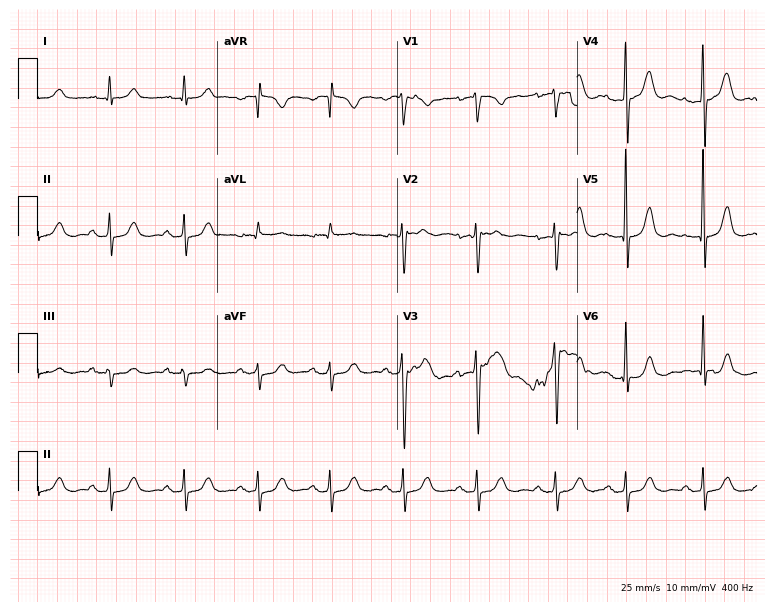
Resting 12-lead electrocardiogram. Patient: a male, 72 years old. None of these six findings is recorded: first-degree AV block, right bundle branch block, left bundle branch block, sinus bradycardia, atrial fibrillation, sinus tachycardia.